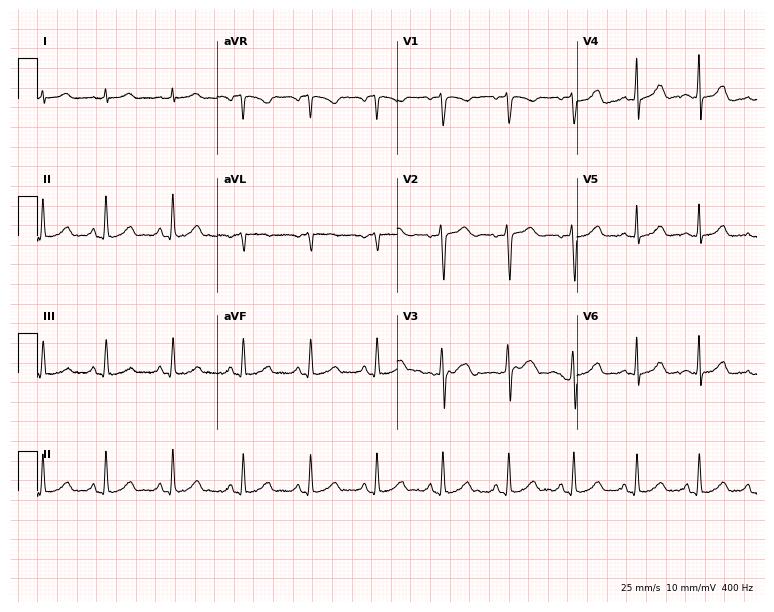
Resting 12-lead electrocardiogram (7.3-second recording at 400 Hz). Patient: a female, 31 years old. Read as a normal ECG.